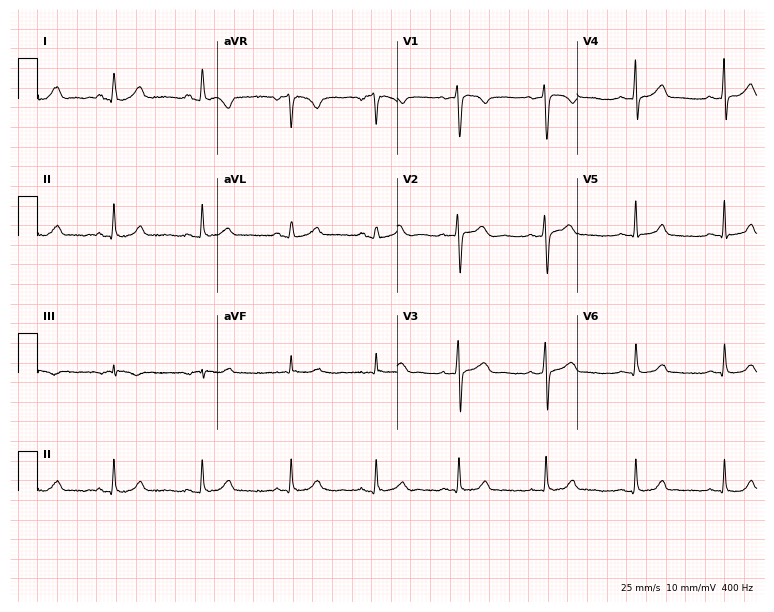
Standard 12-lead ECG recorded from a 41-year-old woman (7.3-second recording at 400 Hz). Read as a normal ECG.